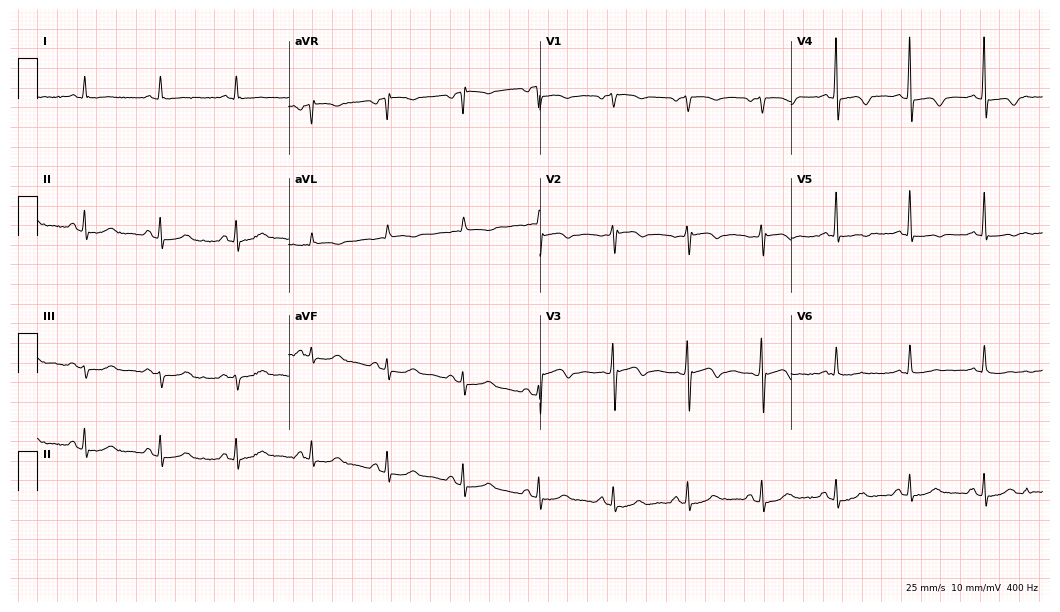
Resting 12-lead electrocardiogram. Patient: a woman, 76 years old. None of these six findings is recorded: first-degree AV block, right bundle branch block, left bundle branch block, sinus bradycardia, atrial fibrillation, sinus tachycardia. Other findings, if any, are not listed.